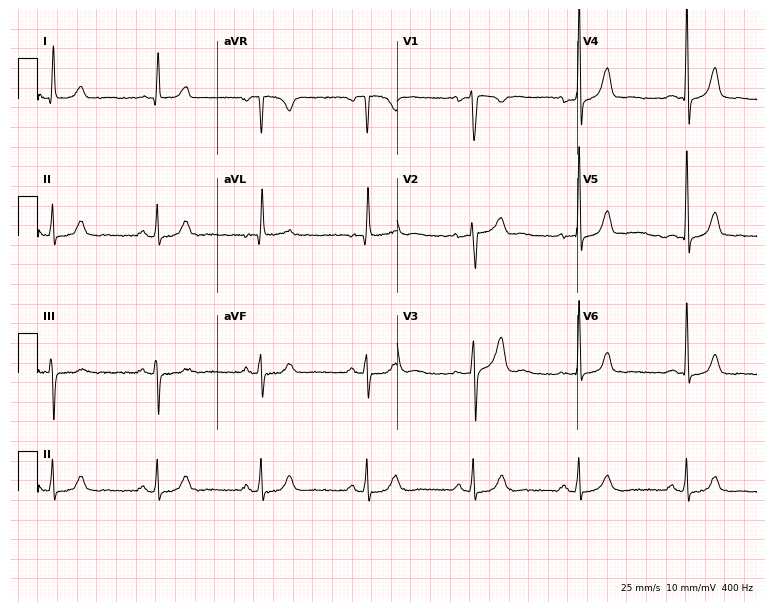
Standard 12-lead ECG recorded from a 66-year-old male (7.3-second recording at 400 Hz). None of these six findings is recorded: first-degree AV block, right bundle branch block (RBBB), left bundle branch block (LBBB), sinus bradycardia, atrial fibrillation (AF), sinus tachycardia. Other findings, if any, are not listed.